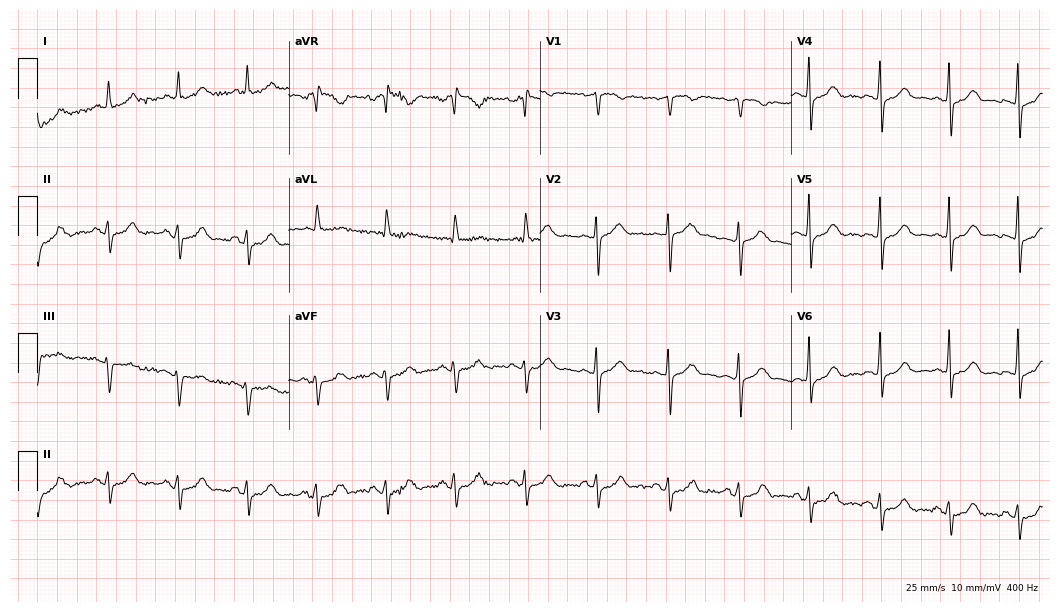
12-lead ECG from a woman, 57 years old. Screened for six findings — first-degree AV block, right bundle branch block, left bundle branch block, sinus bradycardia, atrial fibrillation, sinus tachycardia — none is recorded. Only these six findings were labelled.